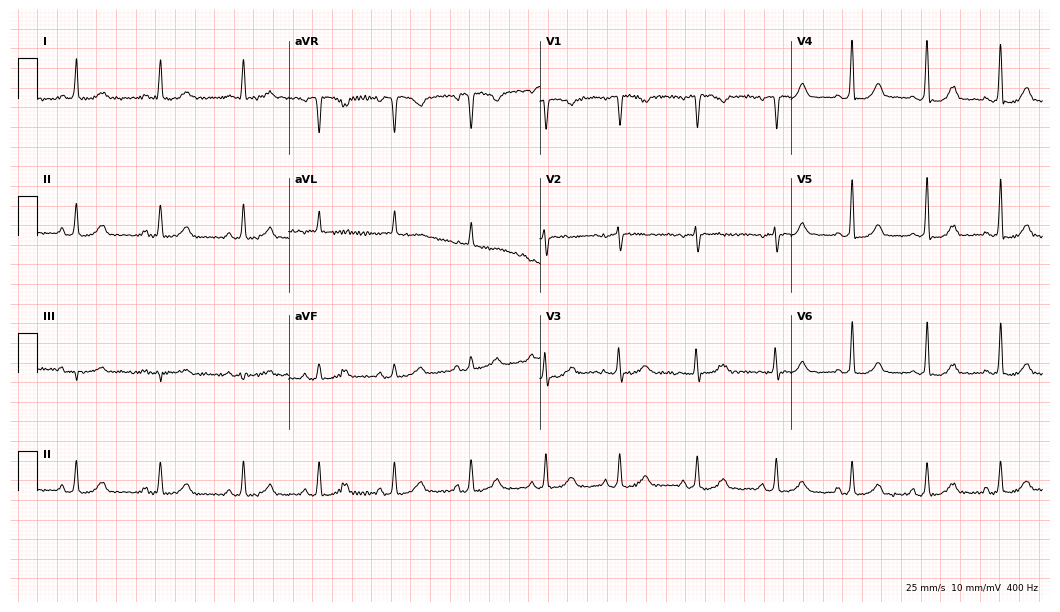
12-lead ECG (10.2-second recording at 400 Hz) from a female, 59 years old. Labelled as a normal ECG.